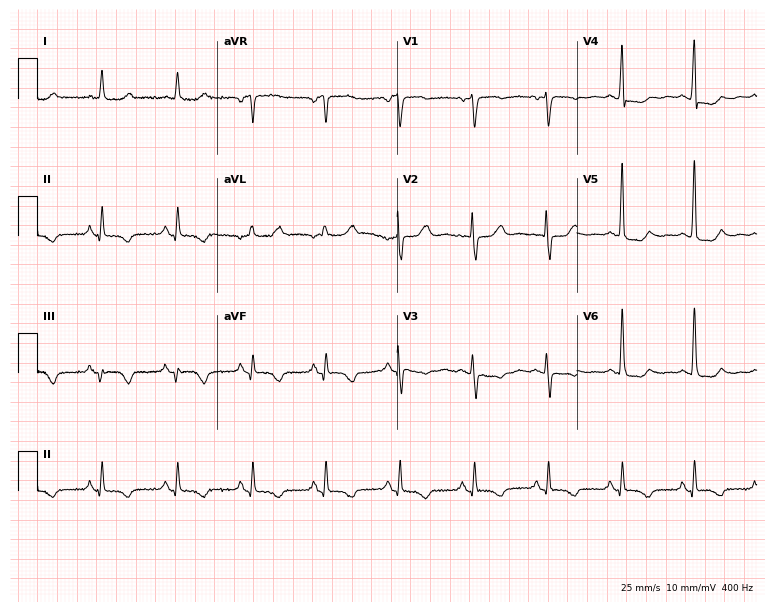
Standard 12-lead ECG recorded from a 75-year-old female patient (7.3-second recording at 400 Hz). None of these six findings is recorded: first-degree AV block, right bundle branch block, left bundle branch block, sinus bradycardia, atrial fibrillation, sinus tachycardia. Findings outside these six are not listed.